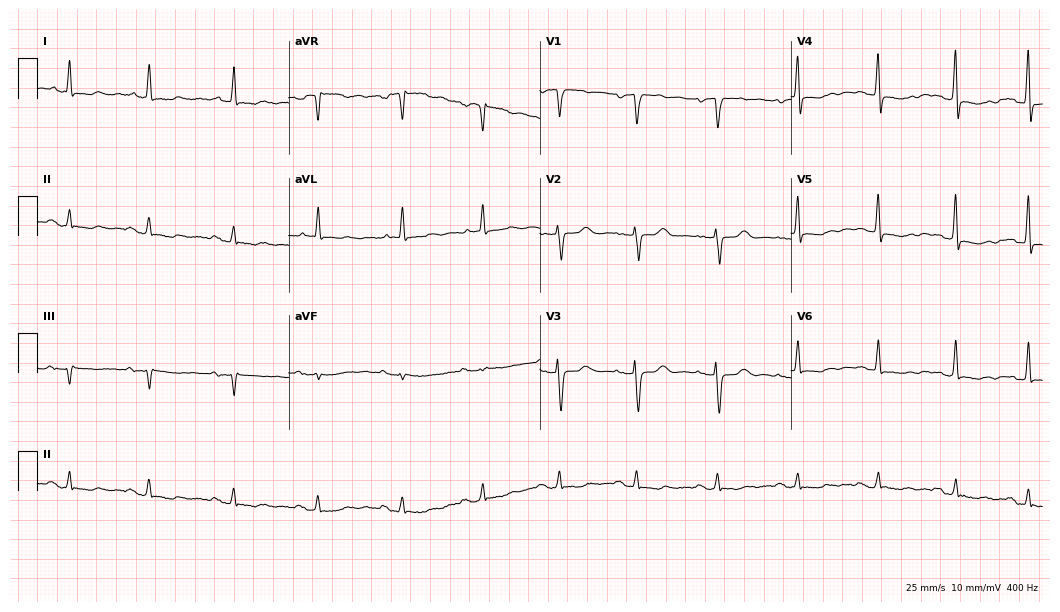
ECG — a female, 63 years old. Labelled as a normal ECG.